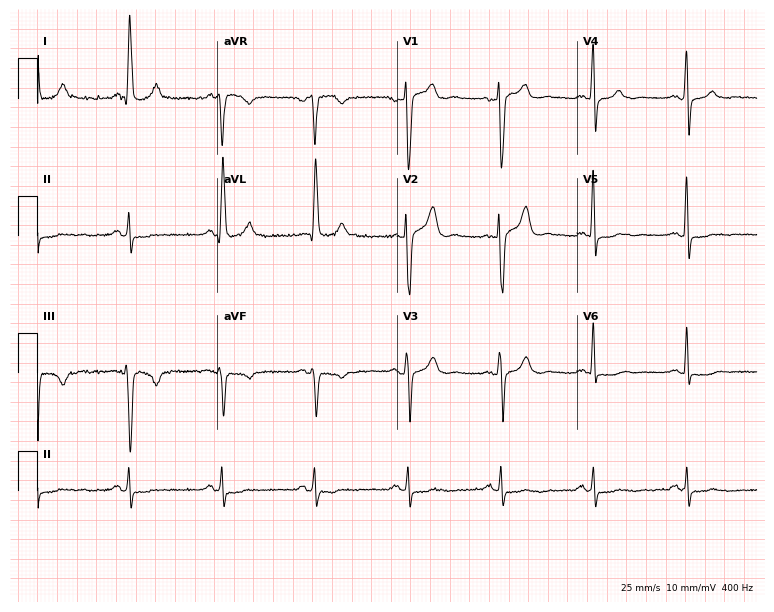
ECG (7.3-second recording at 400 Hz) — a male, 83 years old. Screened for six findings — first-degree AV block, right bundle branch block, left bundle branch block, sinus bradycardia, atrial fibrillation, sinus tachycardia — none is recorded. Only these six findings were labelled.